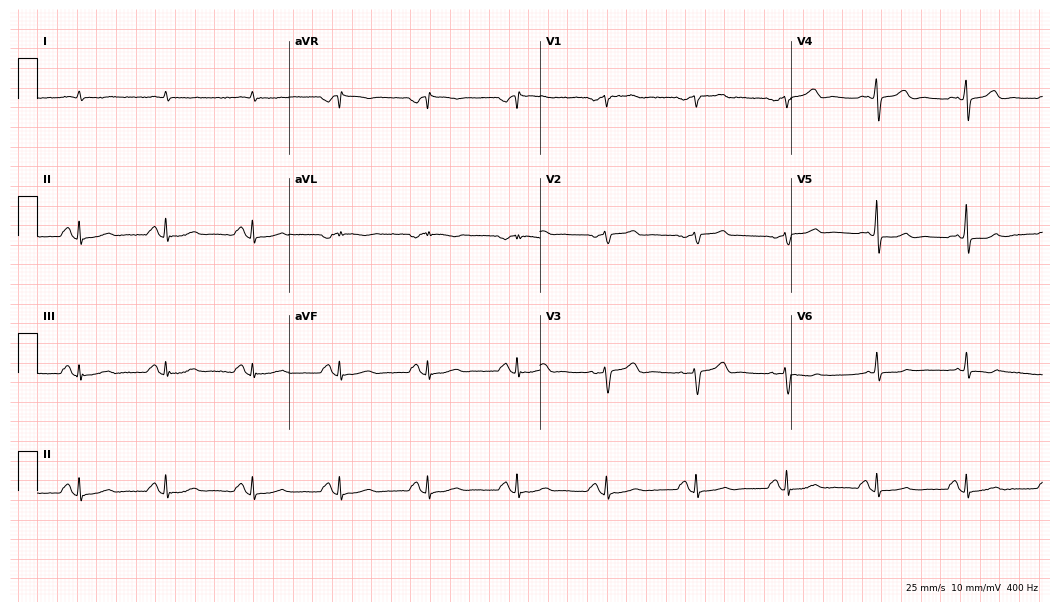
Resting 12-lead electrocardiogram (10.2-second recording at 400 Hz). Patient: a 69-year-old man. Read as a normal ECG.